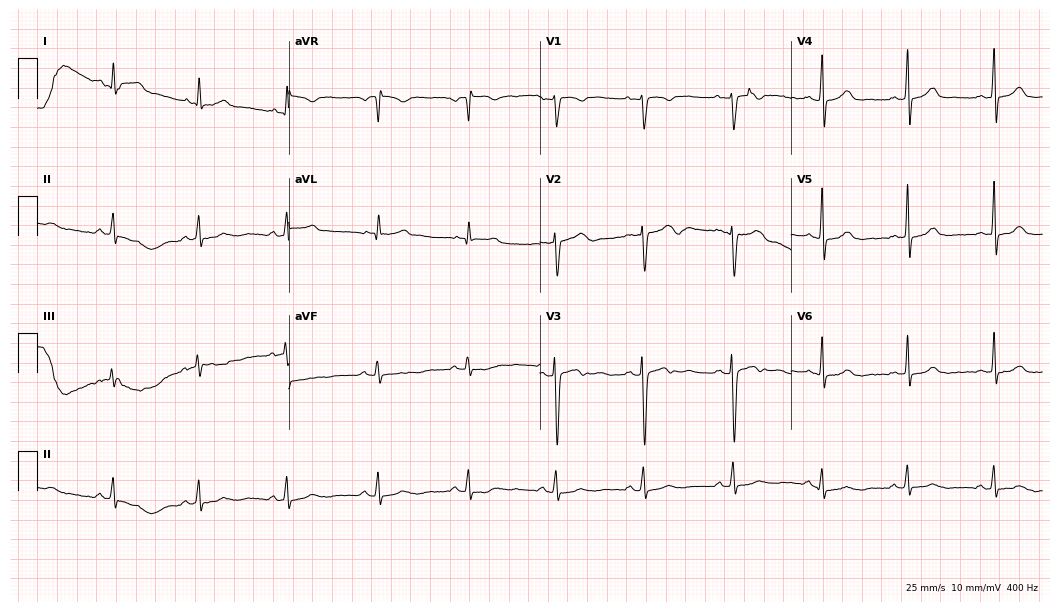
12-lead ECG from a female patient, 35 years old. Labelled as a normal ECG.